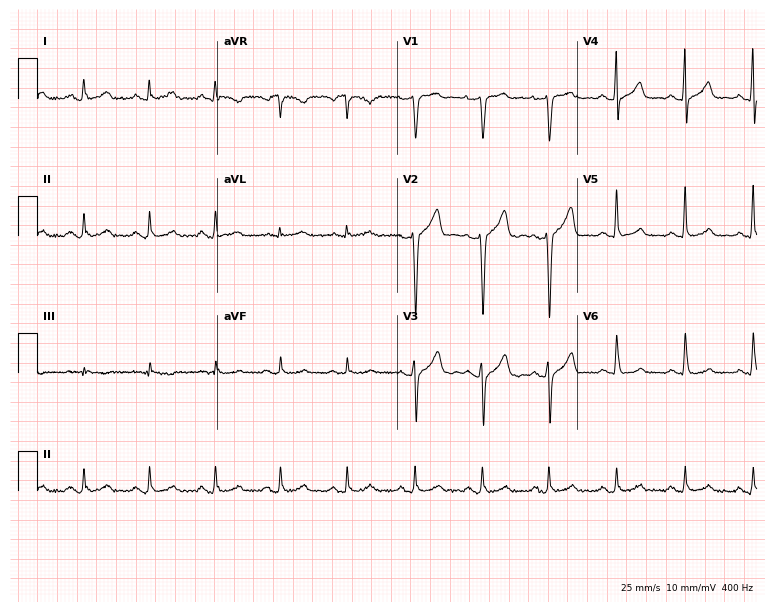
12-lead ECG from a male, 49 years old (7.3-second recording at 400 Hz). Recorded interpretation: within normal limits.